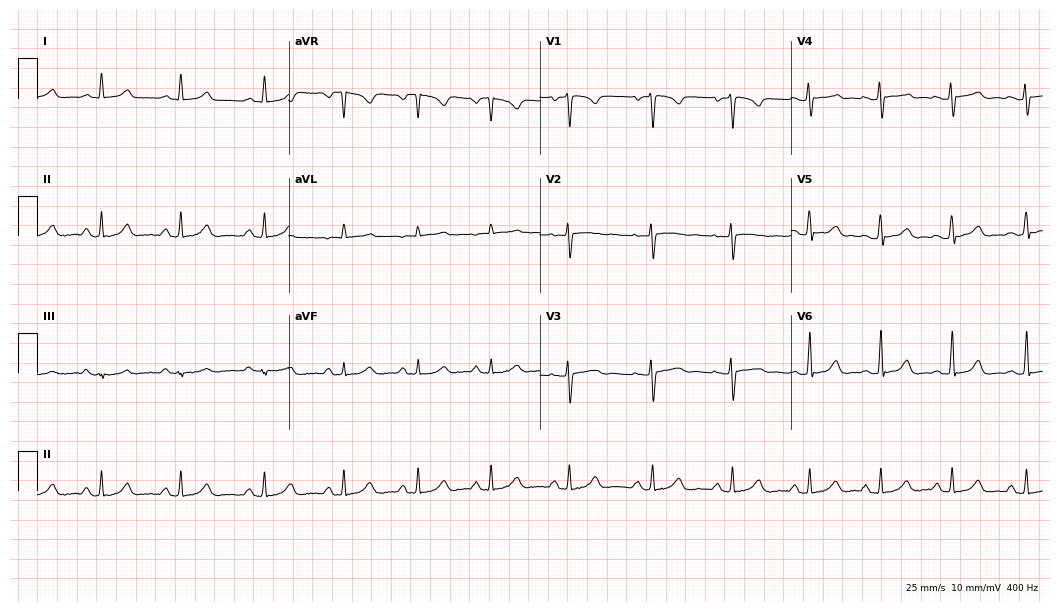
12-lead ECG from a 35-year-old woman (10.2-second recording at 400 Hz). Recorded interpretation: within normal limits.